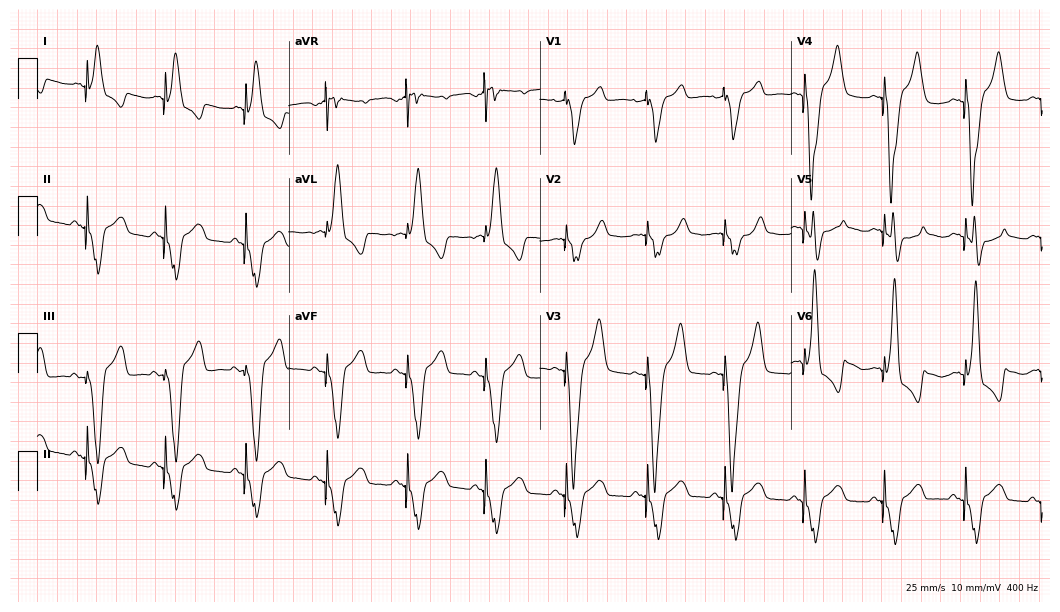
12-lead ECG from a female patient, 80 years old. Screened for six findings — first-degree AV block, right bundle branch block, left bundle branch block, sinus bradycardia, atrial fibrillation, sinus tachycardia — none is recorded. Findings outside these six are not listed.